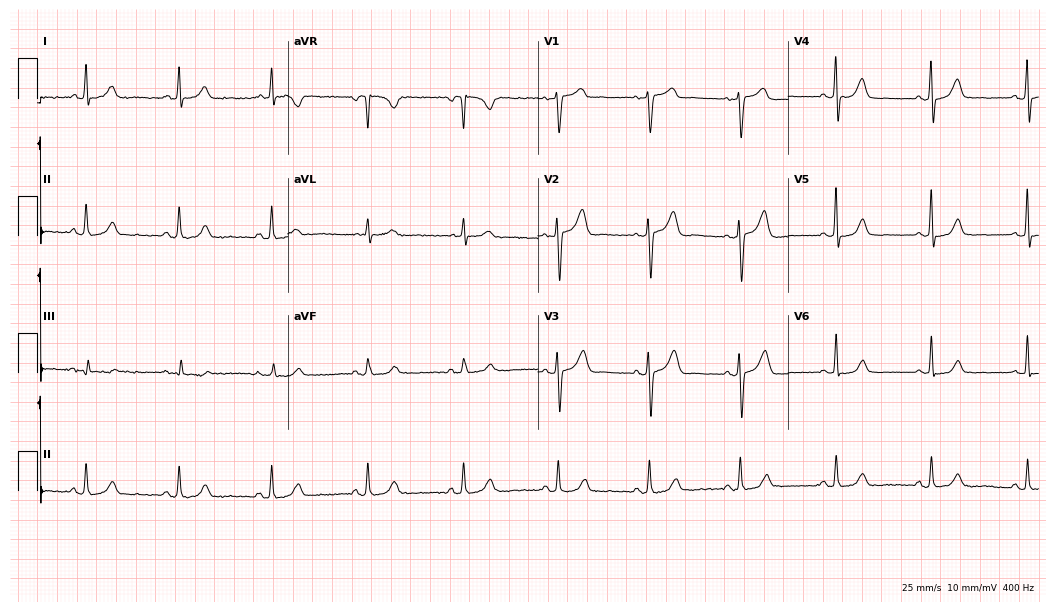
Standard 12-lead ECG recorded from a woman, 61 years old. None of these six findings is recorded: first-degree AV block, right bundle branch block, left bundle branch block, sinus bradycardia, atrial fibrillation, sinus tachycardia.